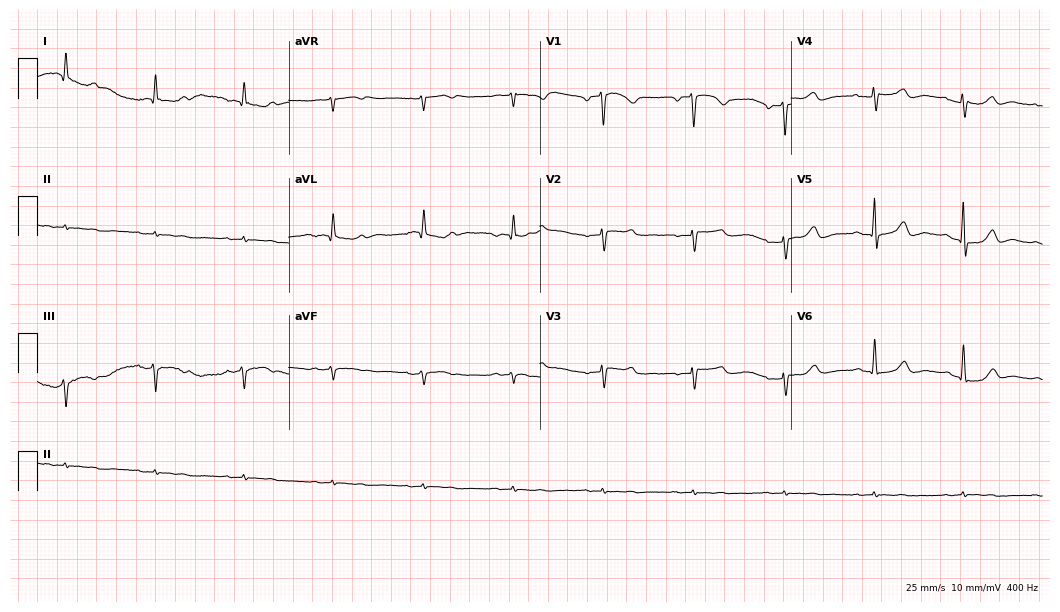
ECG — a female, 72 years old. Screened for six findings — first-degree AV block, right bundle branch block, left bundle branch block, sinus bradycardia, atrial fibrillation, sinus tachycardia — none is recorded. Other findings, if any, are not listed.